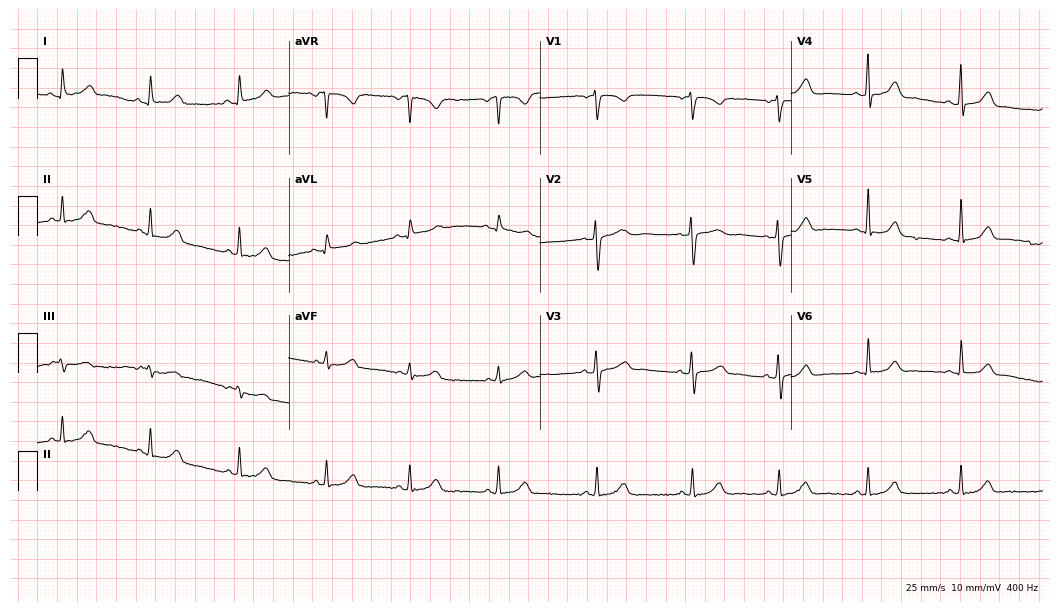
Electrocardiogram, a female patient, 43 years old. Of the six screened findings (first-degree AV block, right bundle branch block (RBBB), left bundle branch block (LBBB), sinus bradycardia, atrial fibrillation (AF), sinus tachycardia), none is recorded.